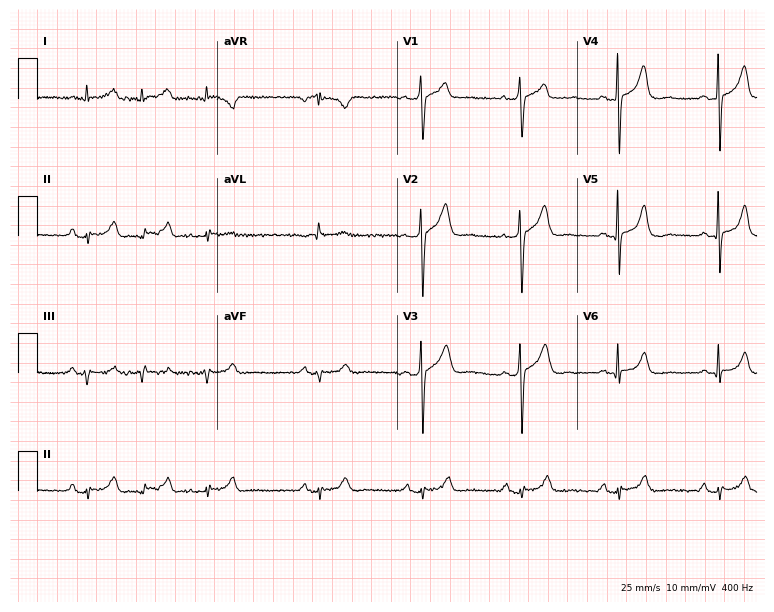
Electrocardiogram (7.3-second recording at 400 Hz), a 70-year-old male patient. Overall reading on record: normal ECG.